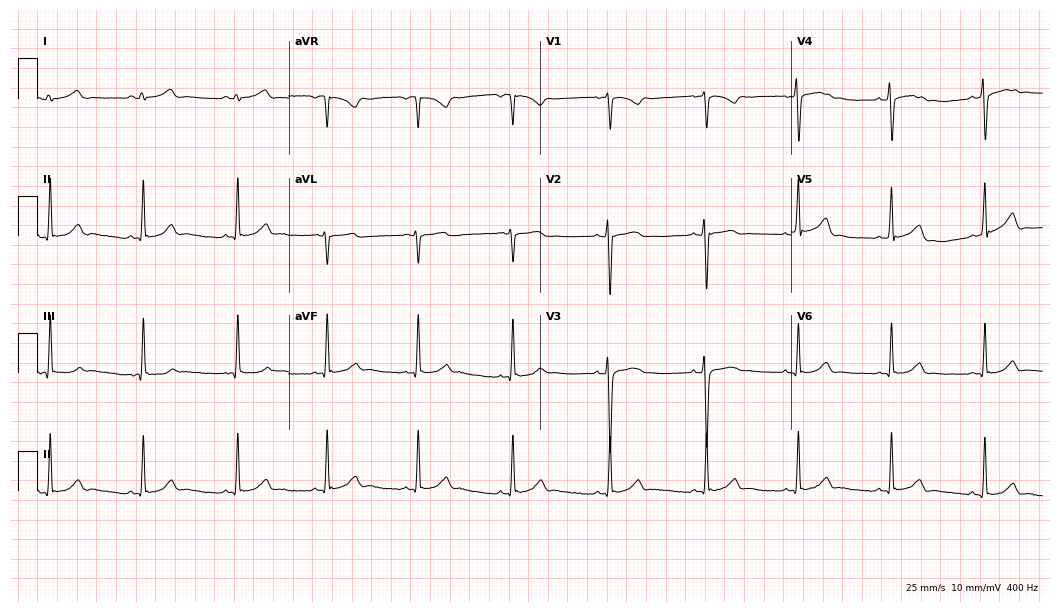
12-lead ECG from a 17-year-old female patient (10.2-second recording at 400 Hz). Recorded interpretation: within normal limits.